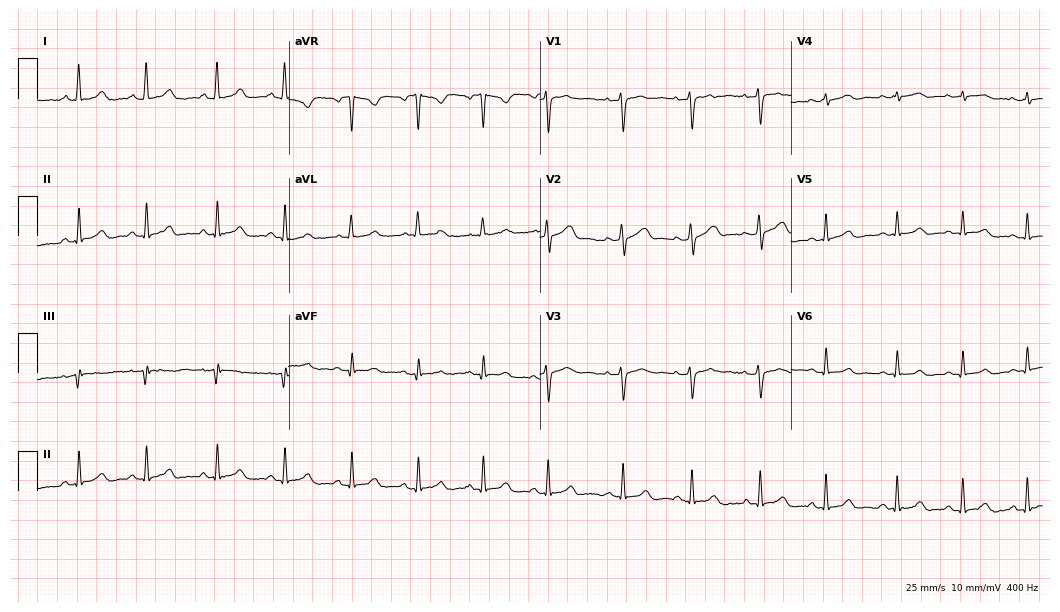
Resting 12-lead electrocardiogram (10.2-second recording at 400 Hz). Patient: a woman, 29 years old. Read as a normal ECG.